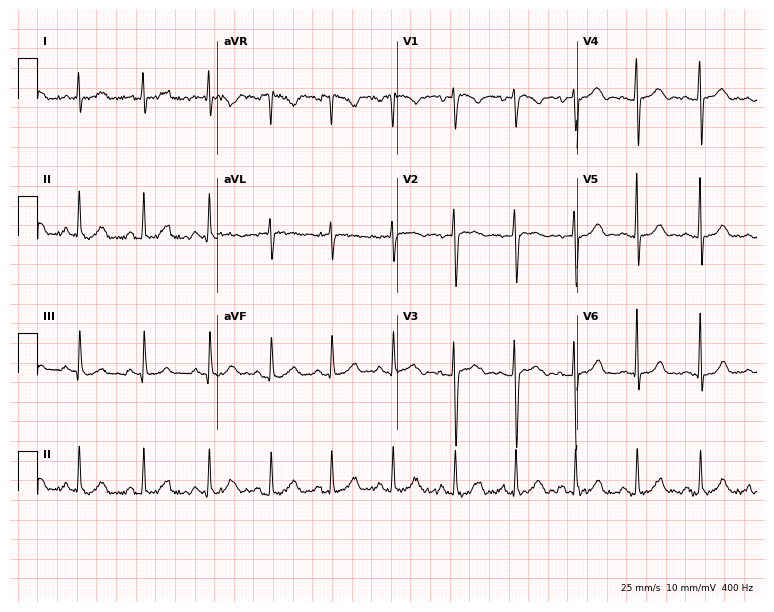
ECG — a female, 30 years old. Labelled as a normal ECG.